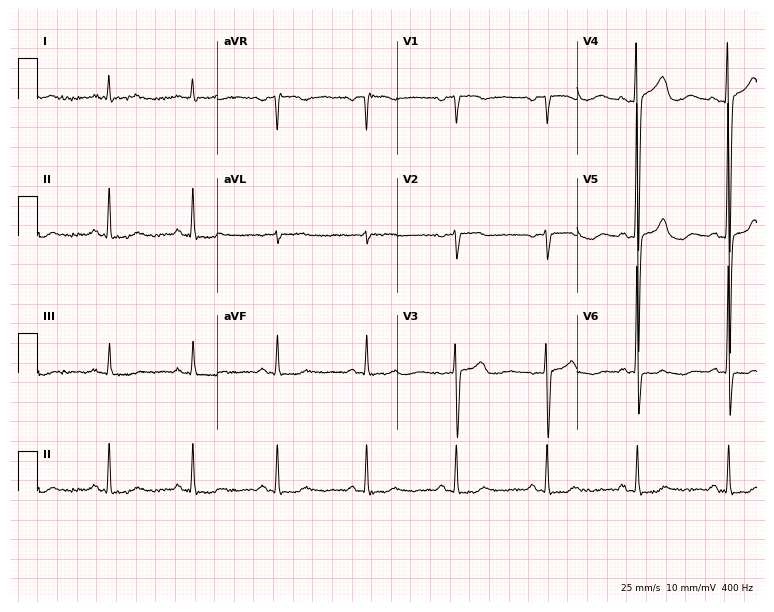
Resting 12-lead electrocardiogram (7.3-second recording at 400 Hz). Patient: a female, 83 years old. None of these six findings is recorded: first-degree AV block, right bundle branch block, left bundle branch block, sinus bradycardia, atrial fibrillation, sinus tachycardia.